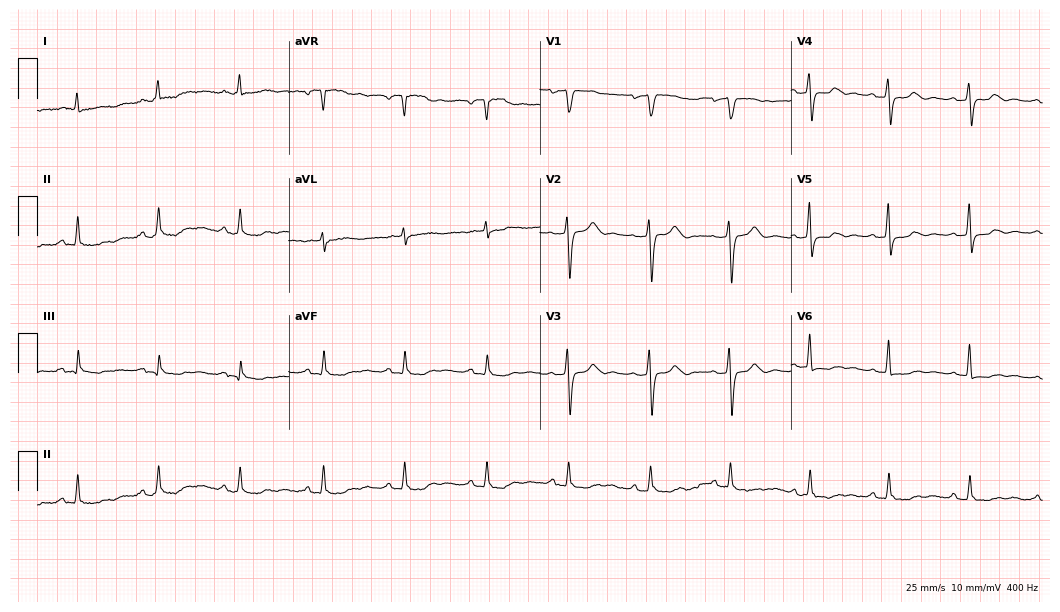
ECG — a female patient, 77 years old. Screened for six findings — first-degree AV block, right bundle branch block, left bundle branch block, sinus bradycardia, atrial fibrillation, sinus tachycardia — none is recorded.